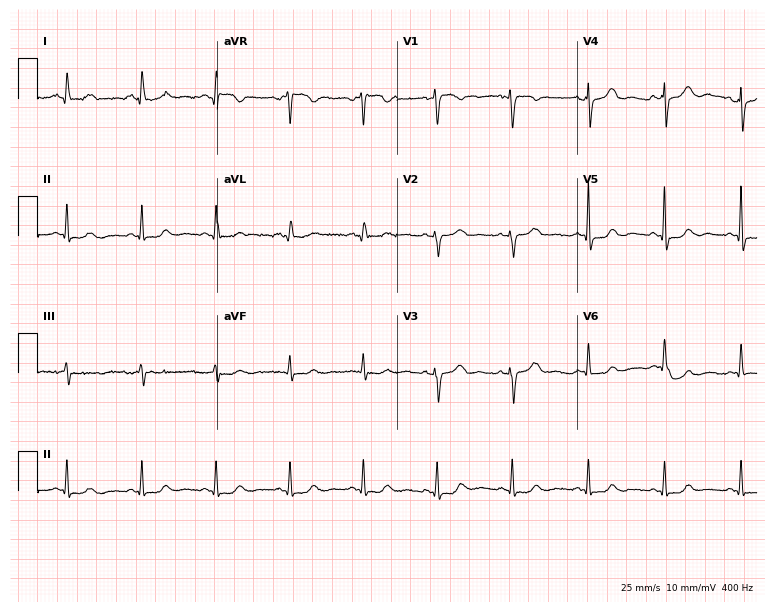
ECG — a 52-year-old woman. Screened for six findings — first-degree AV block, right bundle branch block, left bundle branch block, sinus bradycardia, atrial fibrillation, sinus tachycardia — none is recorded.